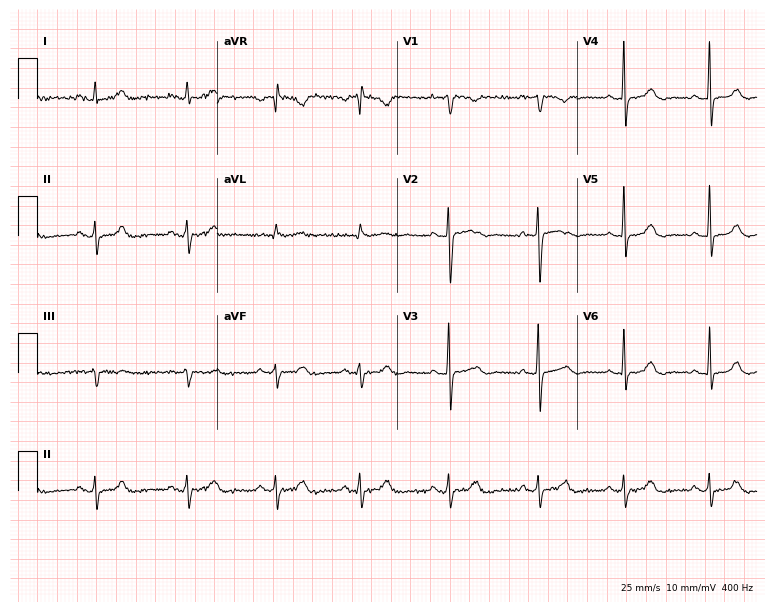
12-lead ECG from a female patient, 28 years old (7.3-second recording at 400 Hz). Recorded interpretation: within normal limits.